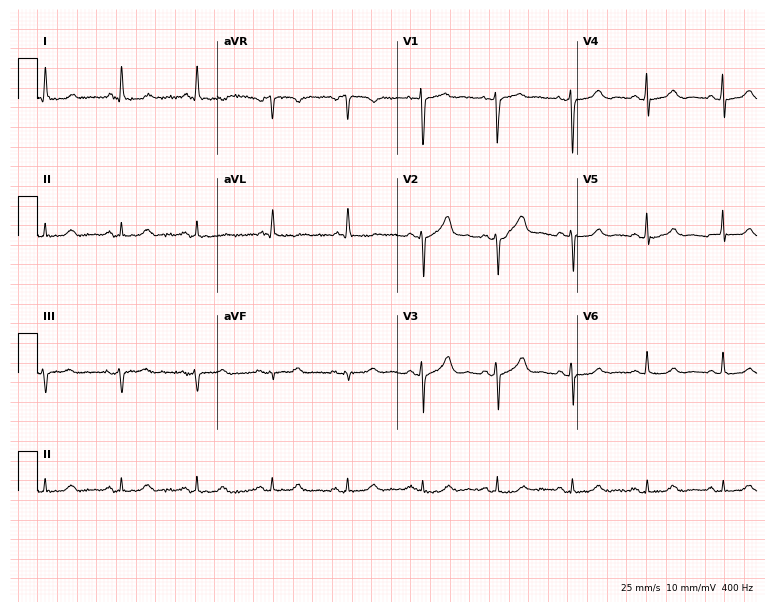
Resting 12-lead electrocardiogram. Patient: a female, 82 years old. None of these six findings is recorded: first-degree AV block, right bundle branch block (RBBB), left bundle branch block (LBBB), sinus bradycardia, atrial fibrillation (AF), sinus tachycardia.